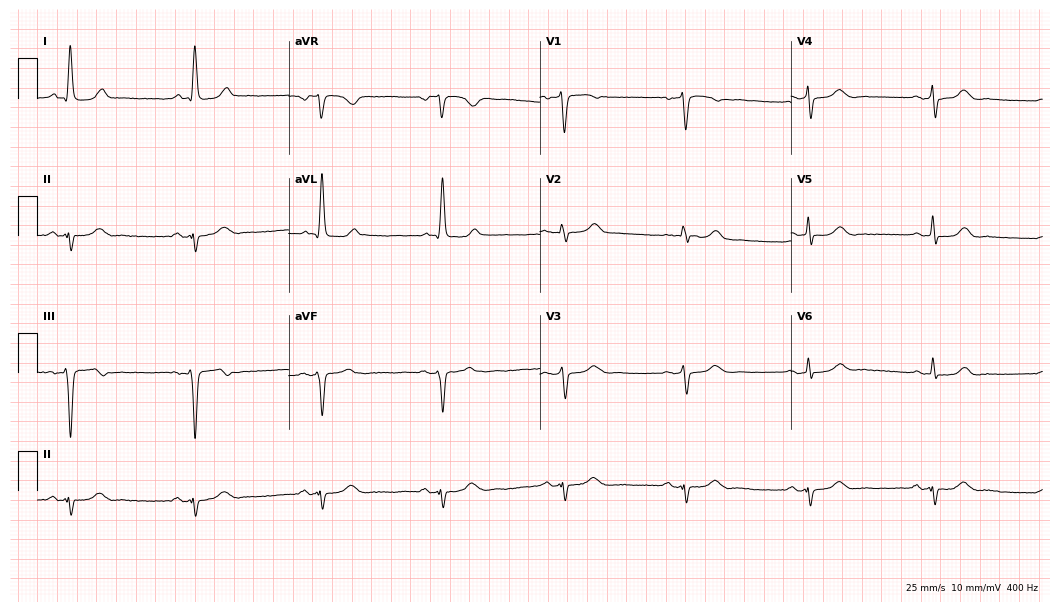
ECG — a 63-year-old female patient. Findings include sinus bradycardia (a sinus rate of 50 beats per minute or less).